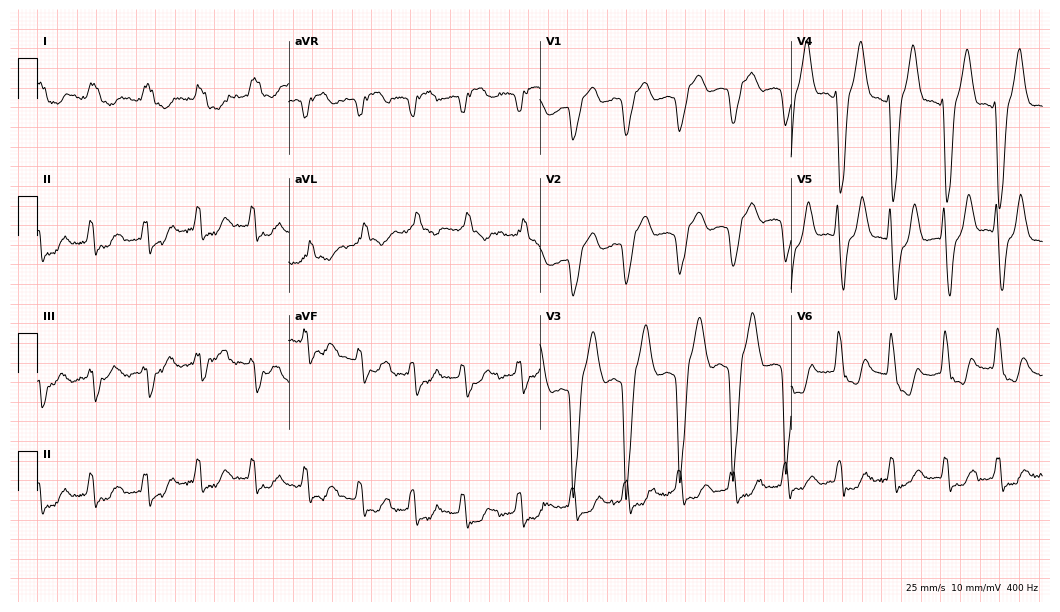
12-lead ECG (10.2-second recording at 400 Hz) from an 85-year-old male patient. Findings include left bundle branch block (LBBB), sinus tachycardia (a sinus rate of 100 beats per minute or more).